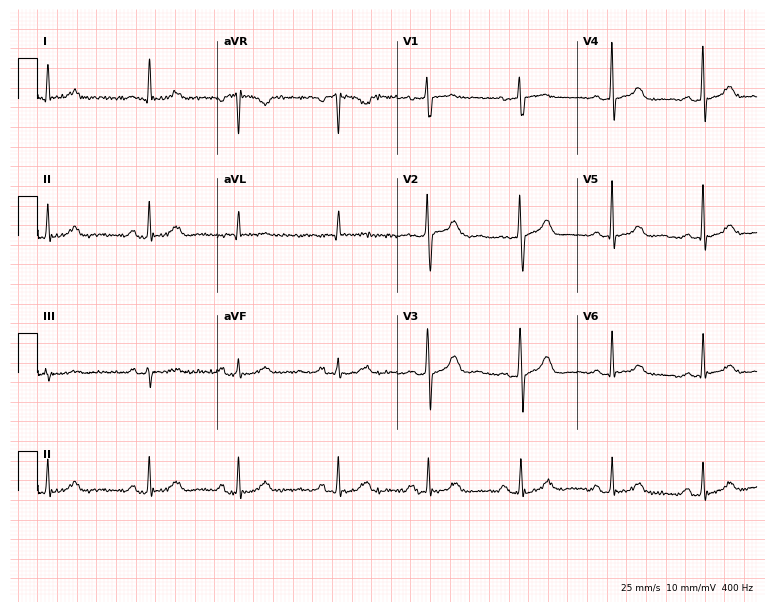
ECG (7.3-second recording at 400 Hz) — an 80-year-old female. Labelled as a normal ECG.